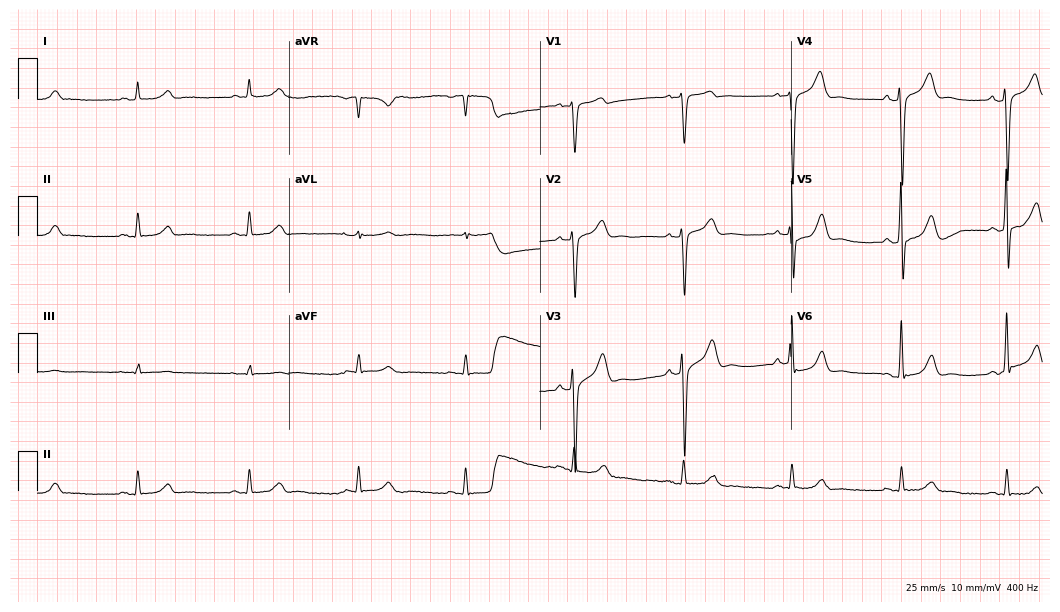
Standard 12-lead ECG recorded from a male, 68 years old (10.2-second recording at 400 Hz). Read as a normal ECG.